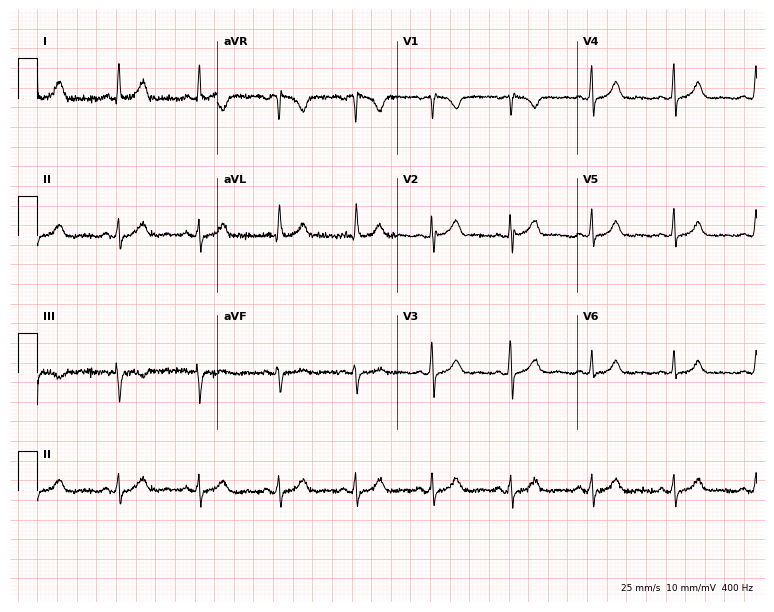
ECG — a female, 35 years old. Screened for six findings — first-degree AV block, right bundle branch block, left bundle branch block, sinus bradycardia, atrial fibrillation, sinus tachycardia — none is recorded.